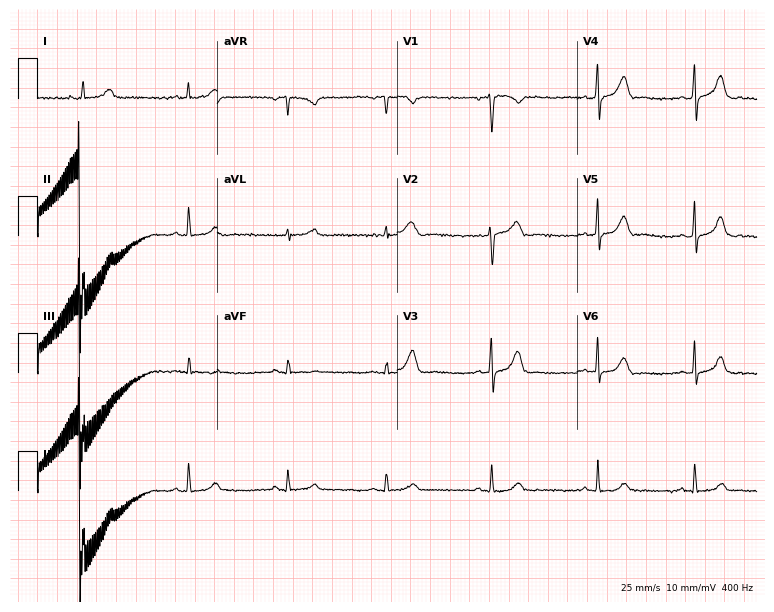
12-lead ECG from a female patient, 36 years old. Screened for six findings — first-degree AV block, right bundle branch block (RBBB), left bundle branch block (LBBB), sinus bradycardia, atrial fibrillation (AF), sinus tachycardia — none is recorded.